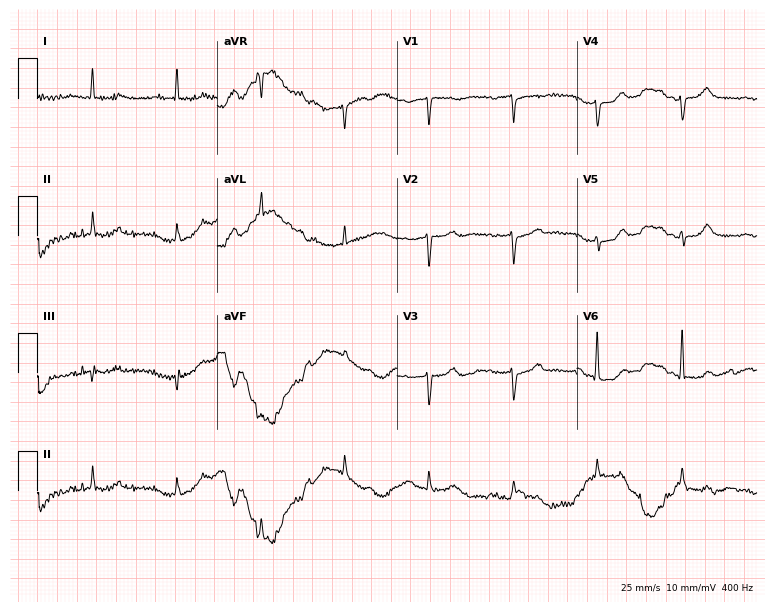
Resting 12-lead electrocardiogram (7.3-second recording at 400 Hz). Patient: a female, 80 years old. None of these six findings is recorded: first-degree AV block, right bundle branch block, left bundle branch block, sinus bradycardia, atrial fibrillation, sinus tachycardia.